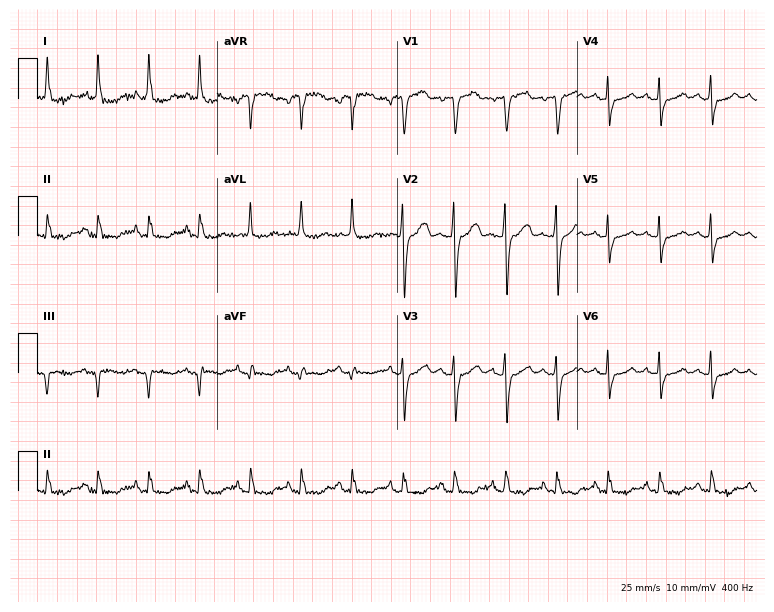
ECG (7.3-second recording at 400 Hz) — a female patient, 81 years old. Findings include sinus tachycardia (a sinus rate of 100 beats per minute or more).